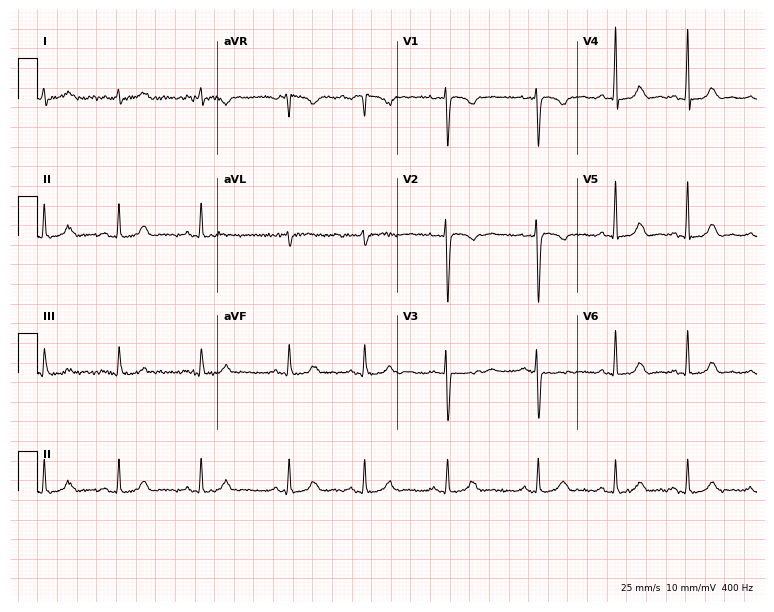
ECG (7.3-second recording at 400 Hz) — a 27-year-old woman. Screened for six findings — first-degree AV block, right bundle branch block, left bundle branch block, sinus bradycardia, atrial fibrillation, sinus tachycardia — none is recorded. Other findings, if any, are not listed.